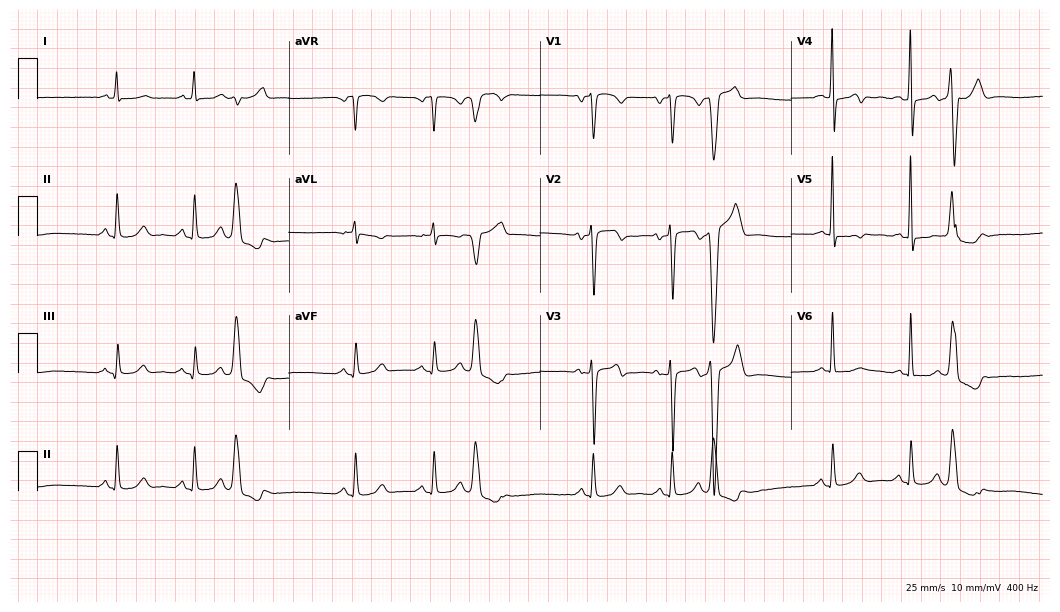
12-lead ECG from a 58-year-old female patient. No first-degree AV block, right bundle branch block (RBBB), left bundle branch block (LBBB), sinus bradycardia, atrial fibrillation (AF) or sinus tachycardia recorded for this tracing.